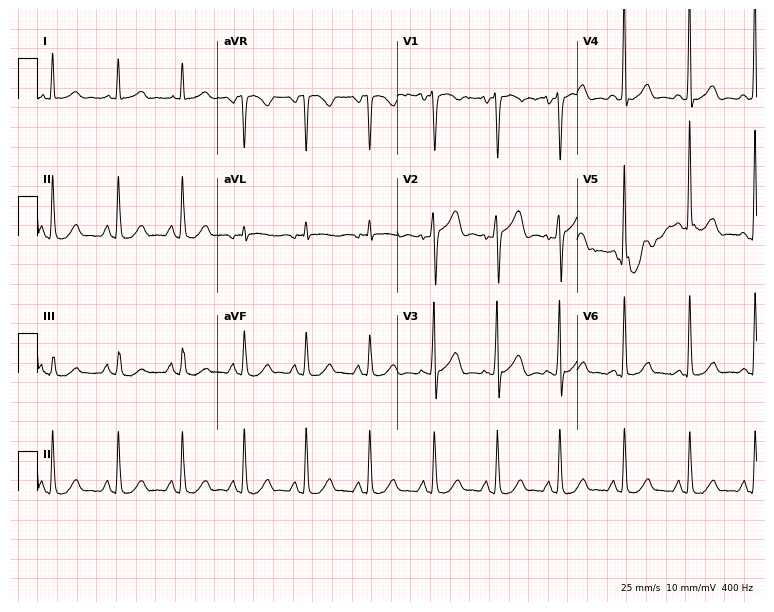
ECG — a 46-year-old female. Screened for six findings — first-degree AV block, right bundle branch block, left bundle branch block, sinus bradycardia, atrial fibrillation, sinus tachycardia — none is recorded.